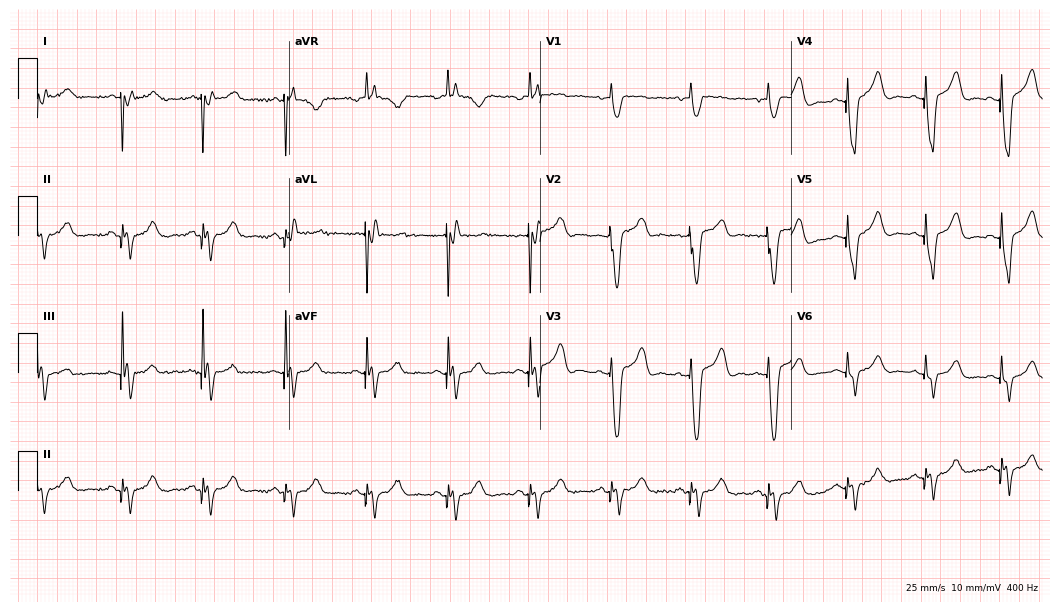
12-lead ECG from an 82-year-old female patient. Screened for six findings — first-degree AV block, right bundle branch block, left bundle branch block, sinus bradycardia, atrial fibrillation, sinus tachycardia — none is recorded.